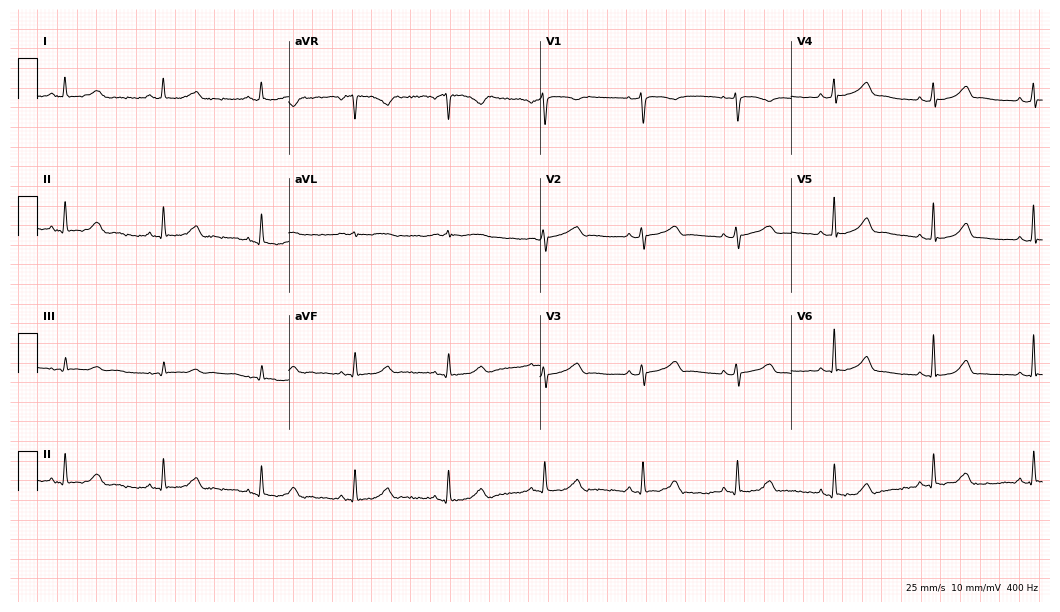
Electrocardiogram (10.2-second recording at 400 Hz), a female, 41 years old. Overall reading on record: normal ECG.